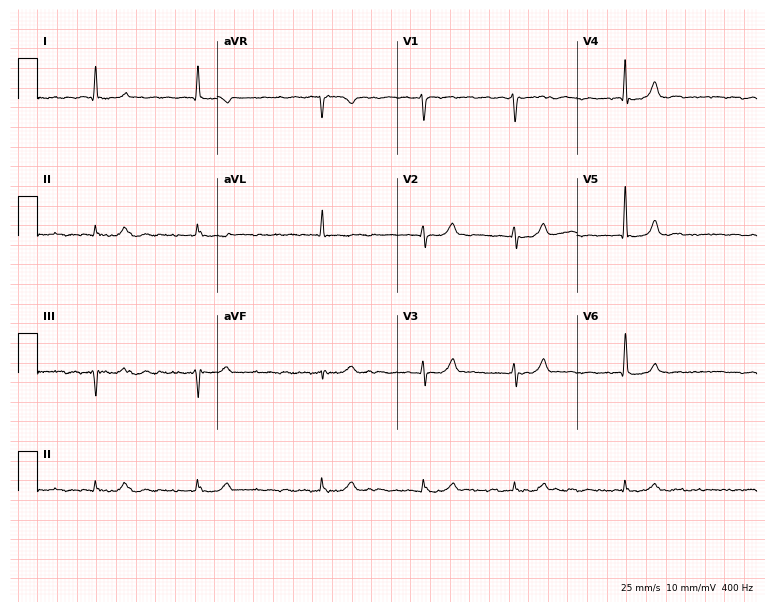
Resting 12-lead electrocardiogram. Patient: an 84-year-old female. The tracing shows atrial fibrillation.